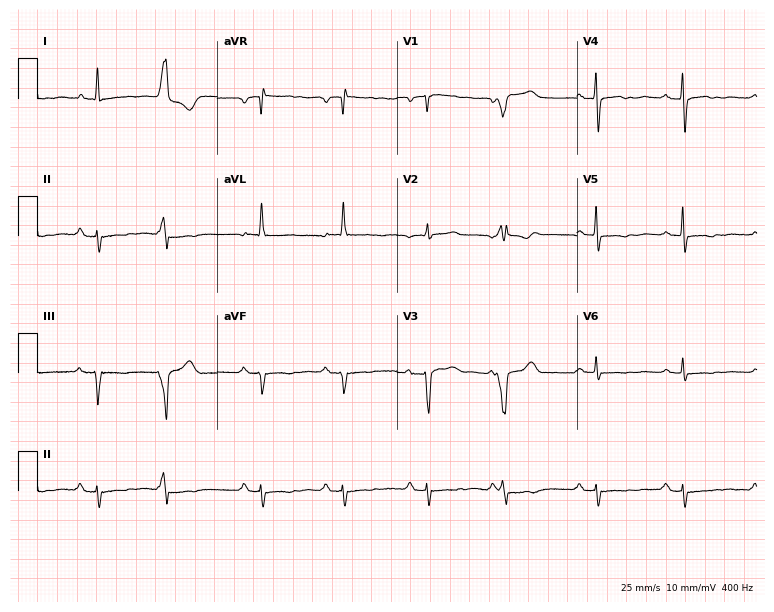
Electrocardiogram, a man, 74 years old. Of the six screened findings (first-degree AV block, right bundle branch block, left bundle branch block, sinus bradycardia, atrial fibrillation, sinus tachycardia), none is recorded.